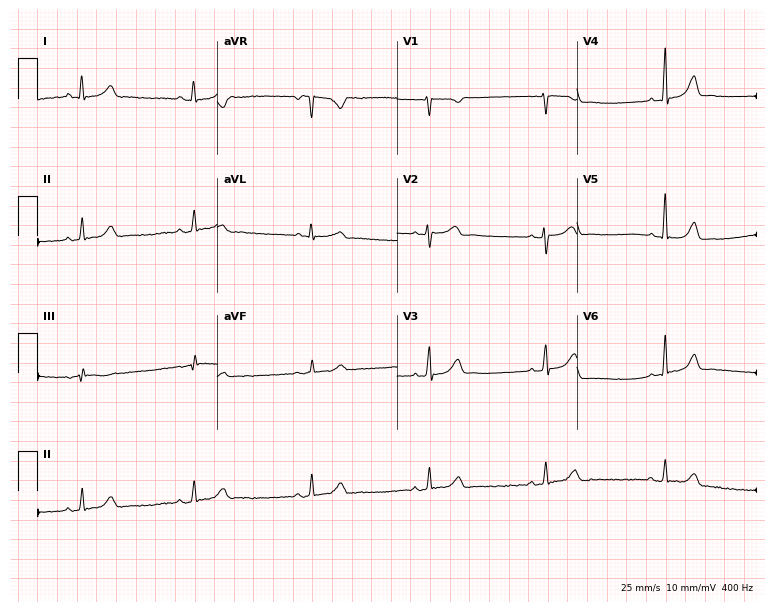
12-lead ECG from a female patient, 26 years old. No first-degree AV block, right bundle branch block, left bundle branch block, sinus bradycardia, atrial fibrillation or sinus tachycardia recorded for this tracing. Other findings, if any, are not listed.